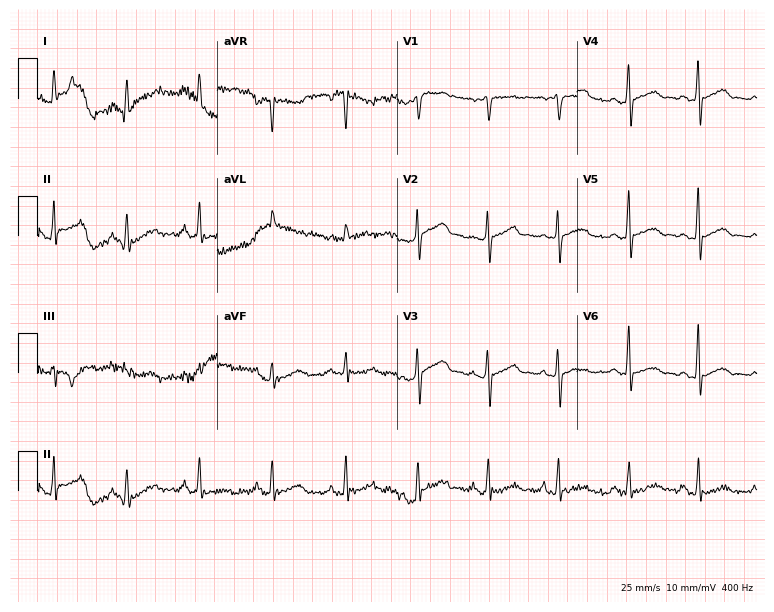
Resting 12-lead electrocardiogram (7.3-second recording at 400 Hz). Patient: a female, 52 years old. Read as a normal ECG.